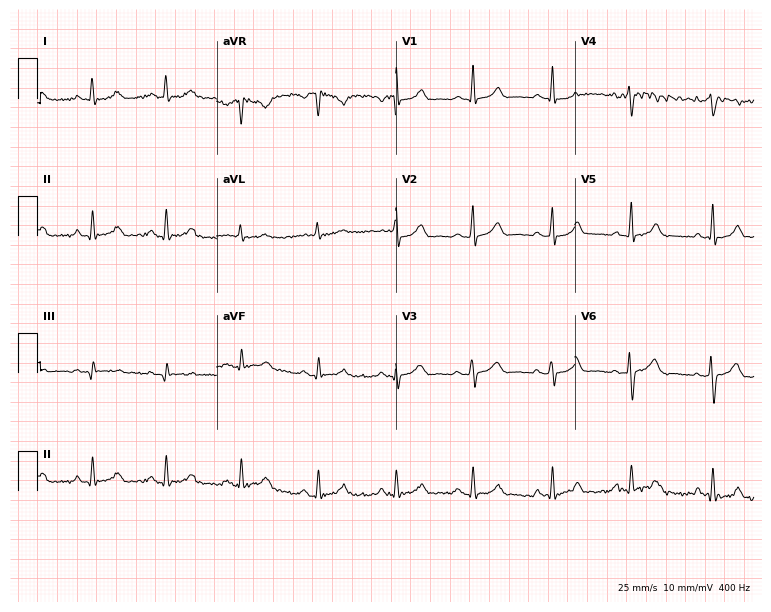
Resting 12-lead electrocardiogram. Patient: a 39-year-old woman. None of these six findings is recorded: first-degree AV block, right bundle branch block, left bundle branch block, sinus bradycardia, atrial fibrillation, sinus tachycardia. Only these six findings were labelled.